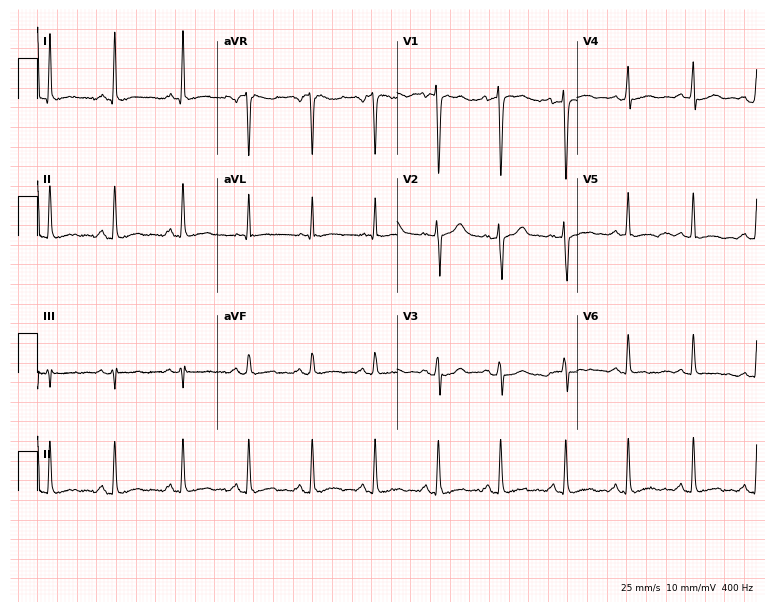
ECG (7.3-second recording at 400 Hz) — a male patient, 32 years old. Screened for six findings — first-degree AV block, right bundle branch block (RBBB), left bundle branch block (LBBB), sinus bradycardia, atrial fibrillation (AF), sinus tachycardia — none is recorded. Other findings, if any, are not listed.